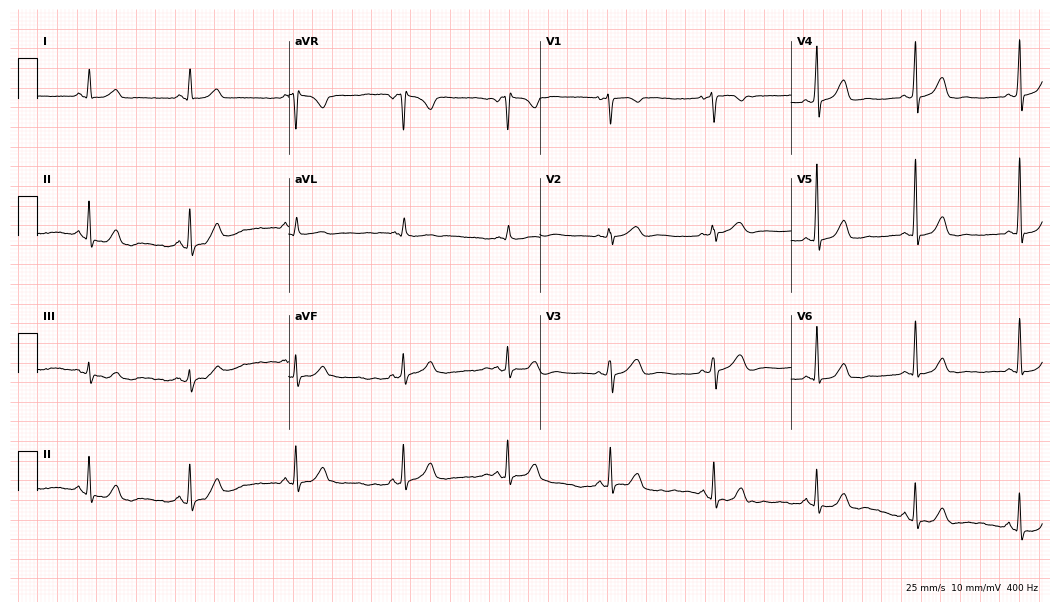
Resting 12-lead electrocardiogram (10.2-second recording at 400 Hz). Patient: a 45-year-old woman. Read as a normal ECG.